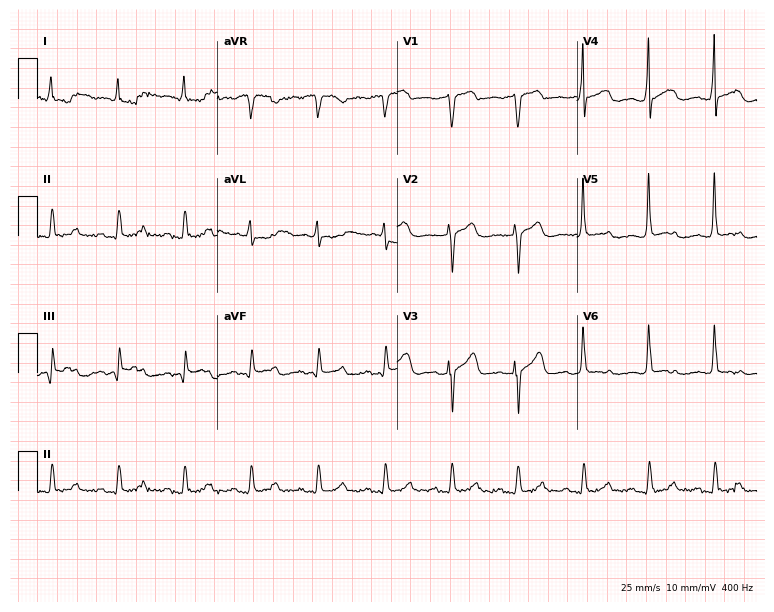
Resting 12-lead electrocardiogram (7.3-second recording at 400 Hz). Patient: a male, 75 years old. None of these six findings is recorded: first-degree AV block, right bundle branch block, left bundle branch block, sinus bradycardia, atrial fibrillation, sinus tachycardia.